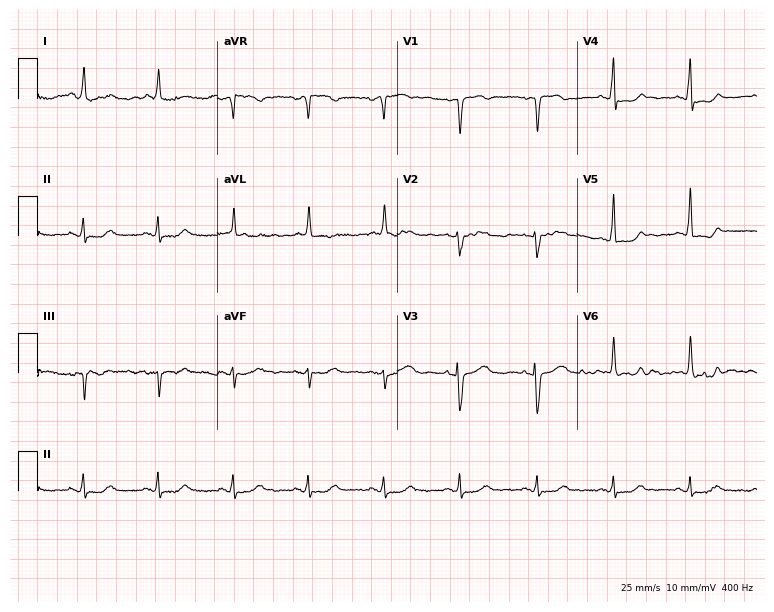
Electrocardiogram (7.3-second recording at 400 Hz), a 73-year-old woman. Of the six screened findings (first-degree AV block, right bundle branch block, left bundle branch block, sinus bradycardia, atrial fibrillation, sinus tachycardia), none is recorded. Other findings, if any, are not listed.